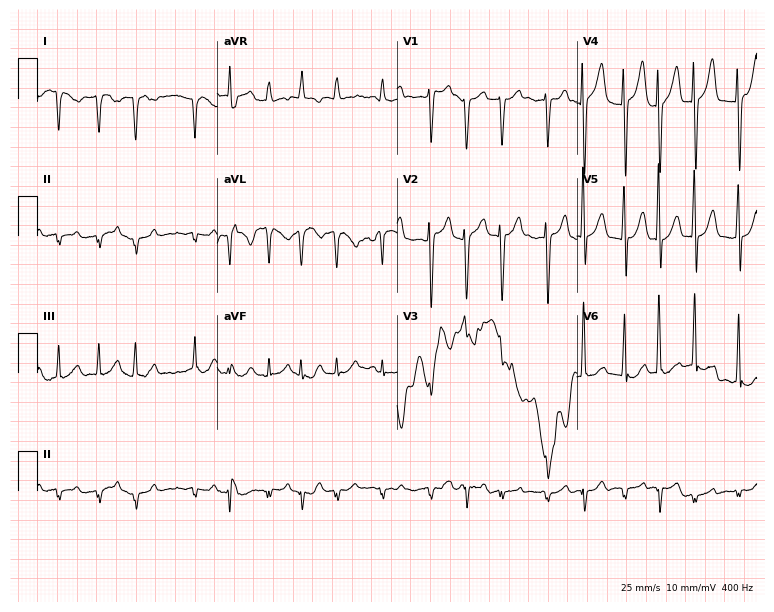
Standard 12-lead ECG recorded from a woman, 72 years old (7.3-second recording at 400 Hz). None of these six findings is recorded: first-degree AV block, right bundle branch block, left bundle branch block, sinus bradycardia, atrial fibrillation, sinus tachycardia. Findings outside these six are not listed.